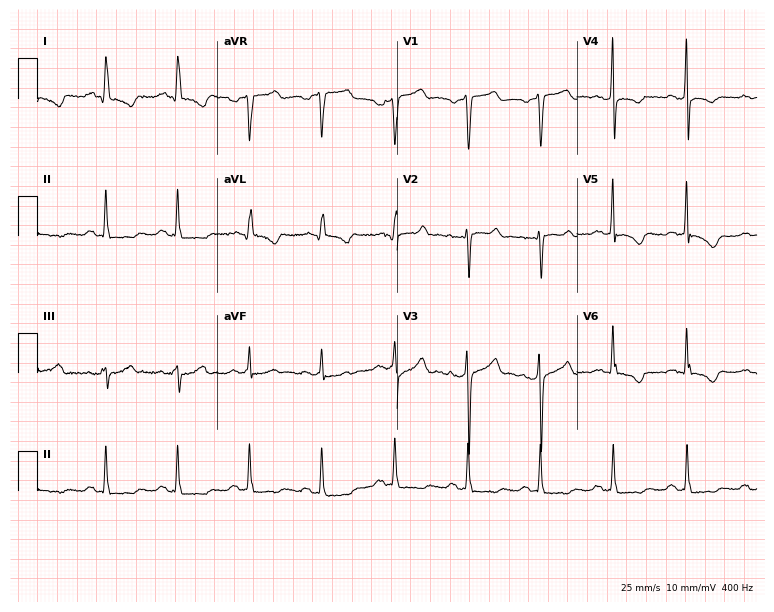
Resting 12-lead electrocardiogram. Patient: a 49-year-old man. None of these six findings is recorded: first-degree AV block, right bundle branch block, left bundle branch block, sinus bradycardia, atrial fibrillation, sinus tachycardia.